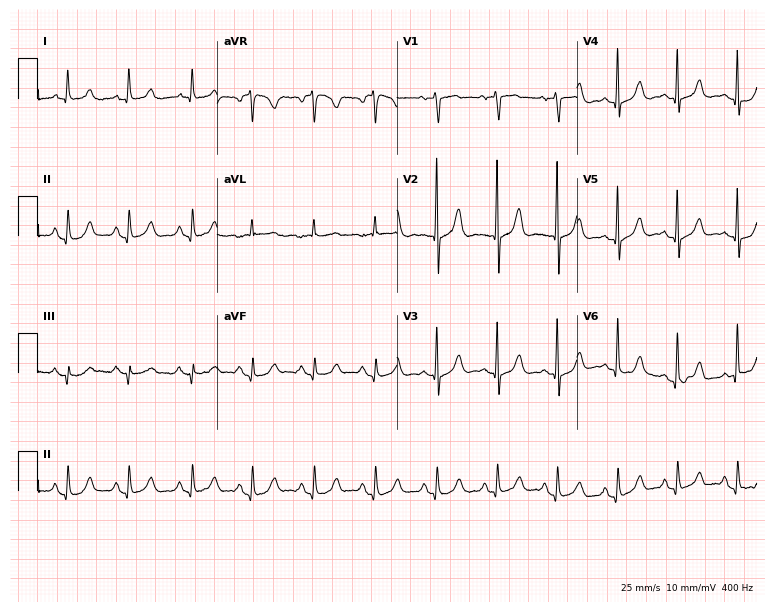
12-lead ECG from a female, 75 years old. No first-degree AV block, right bundle branch block (RBBB), left bundle branch block (LBBB), sinus bradycardia, atrial fibrillation (AF) or sinus tachycardia recorded for this tracing. Only these six findings were labelled.